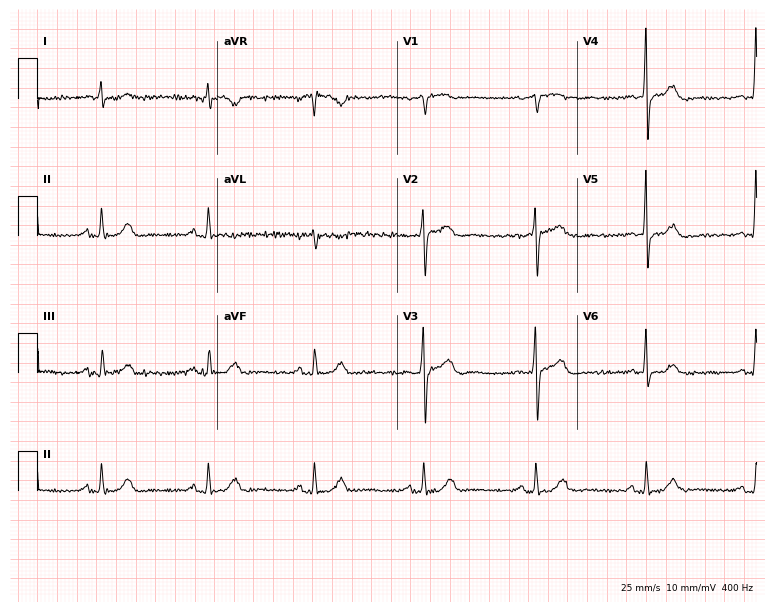
Electrocardiogram, a male, 66 years old. Of the six screened findings (first-degree AV block, right bundle branch block (RBBB), left bundle branch block (LBBB), sinus bradycardia, atrial fibrillation (AF), sinus tachycardia), none is recorded. Other findings, if any, are not listed.